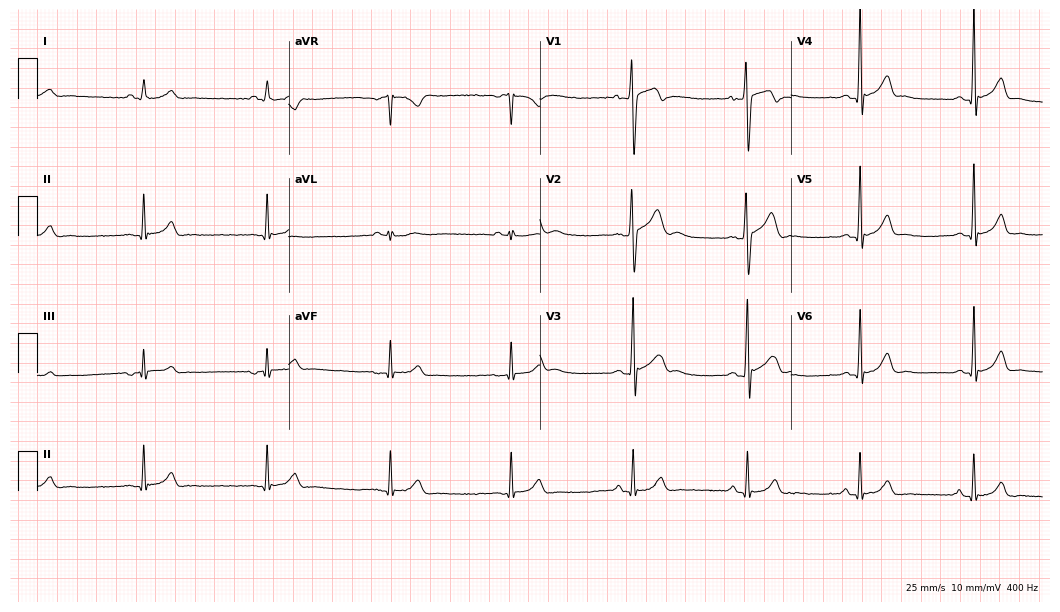
12-lead ECG from a 20-year-old male. Recorded interpretation: within normal limits.